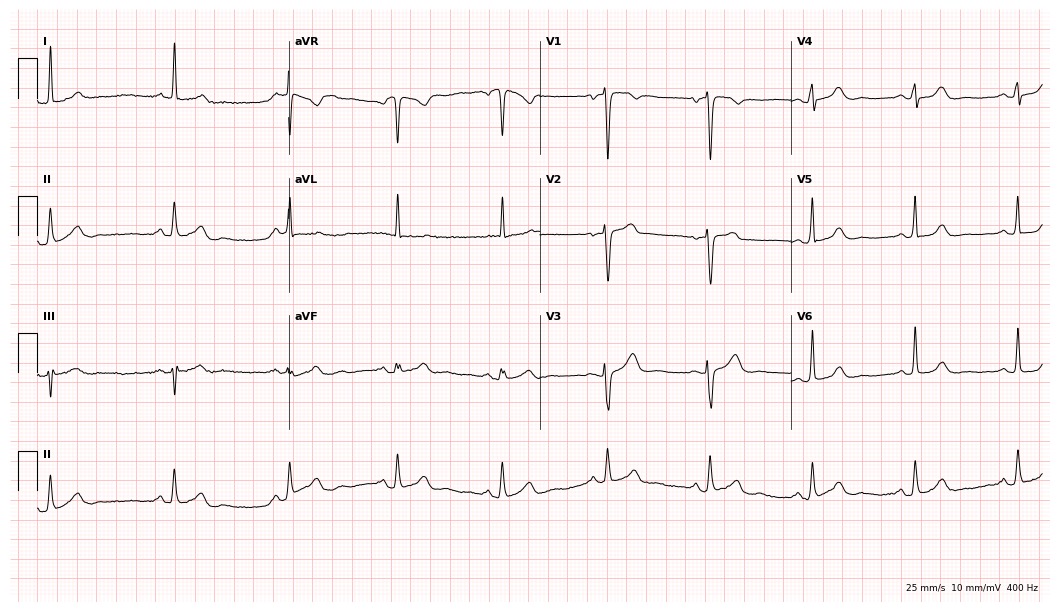
12-lead ECG from a female, 73 years old. Recorded interpretation: within normal limits.